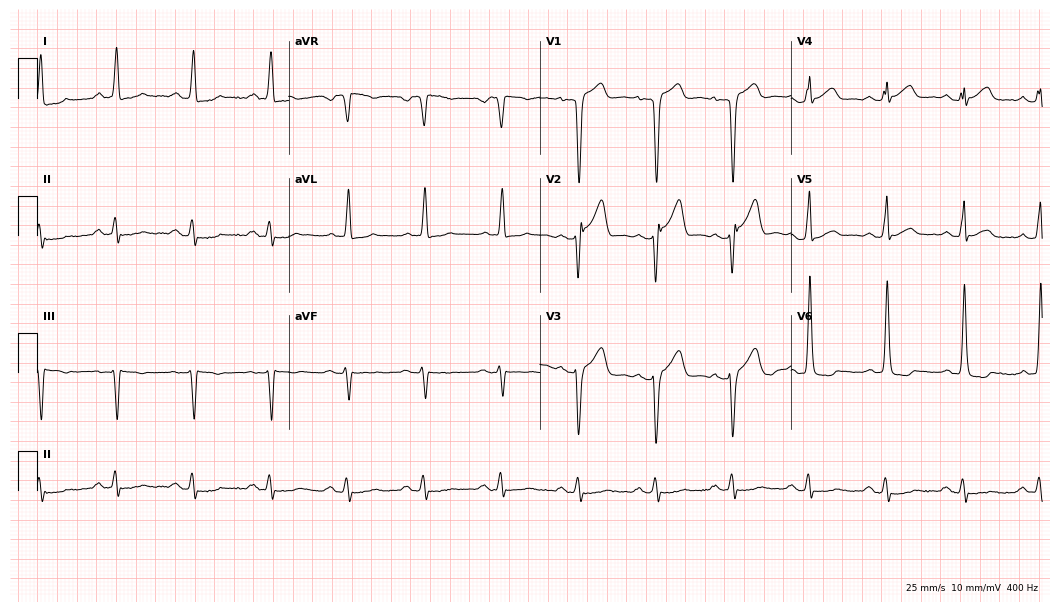
Electrocardiogram, a female patient, 64 years old. Of the six screened findings (first-degree AV block, right bundle branch block, left bundle branch block, sinus bradycardia, atrial fibrillation, sinus tachycardia), none is recorded.